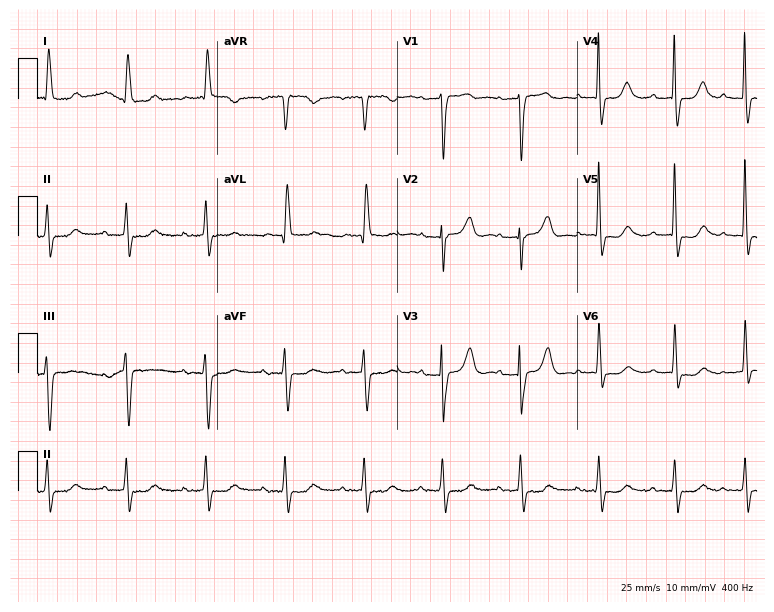
ECG (7.3-second recording at 400 Hz) — a woman, 87 years old. Screened for six findings — first-degree AV block, right bundle branch block (RBBB), left bundle branch block (LBBB), sinus bradycardia, atrial fibrillation (AF), sinus tachycardia — none is recorded.